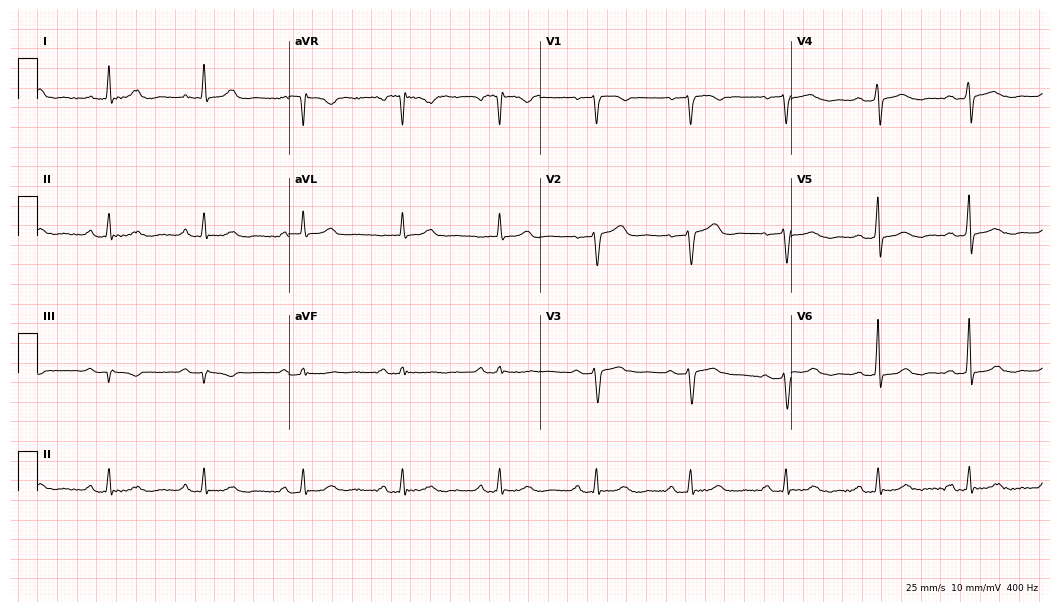
ECG — a female patient, 59 years old. Labelled as a normal ECG.